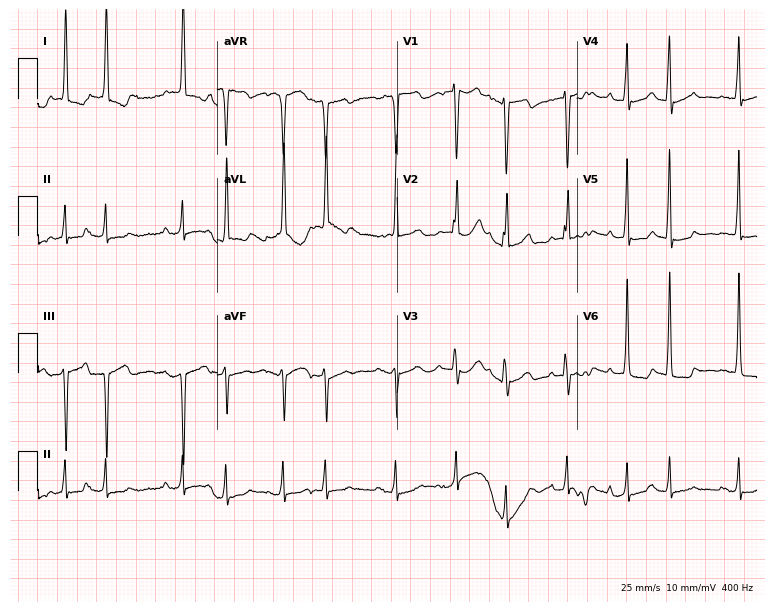
Resting 12-lead electrocardiogram (7.3-second recording at 400 Hz). Patient: a woman, 84 years old. None of these six findings is recorded: first-degree AV block, right bundle branch block (RBBB), left bundle branch block (LBBB), sinus bradycardia, atrial fibrillation (AF), sinus tachycardia.